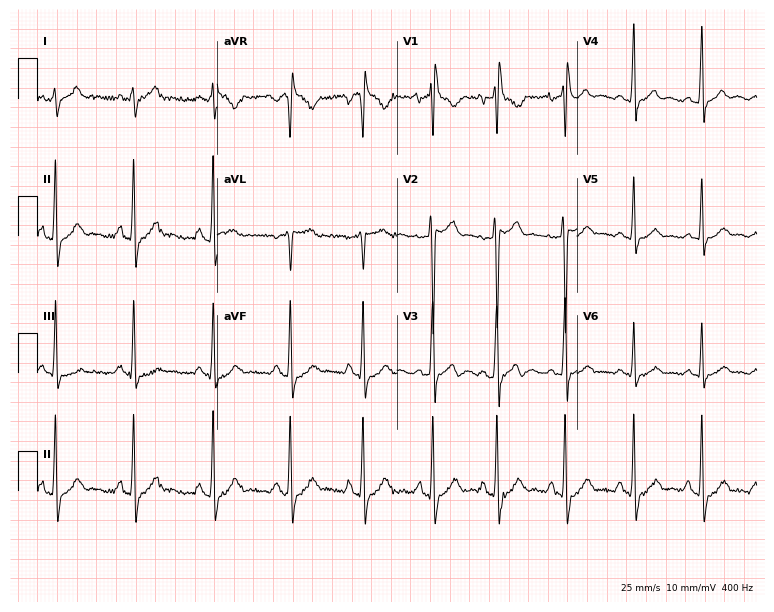
Electrocardiogram (7.3-second recording at 400 Hz), a male, 30 years old. Of the six screened findings (first-degree AV block, right bundle branch block (RBBB), left bundle branch block (LBBB), sinus bradycardia, atrial fibrillation (AF), sinus tachycardia), none is recorded.